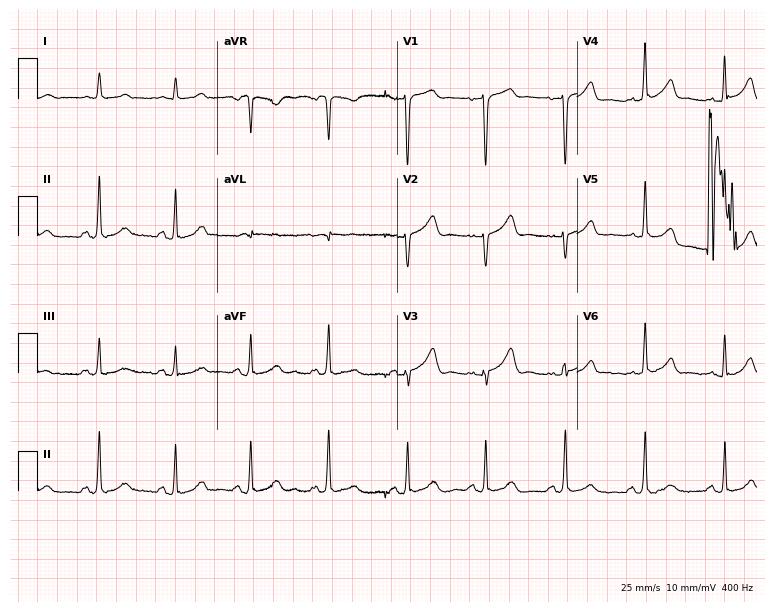
Resting 12-lead electrocardiogram (7.3-second recording at 400 Hz). Patient: a male, 65 years old. Read as a normal ECG.